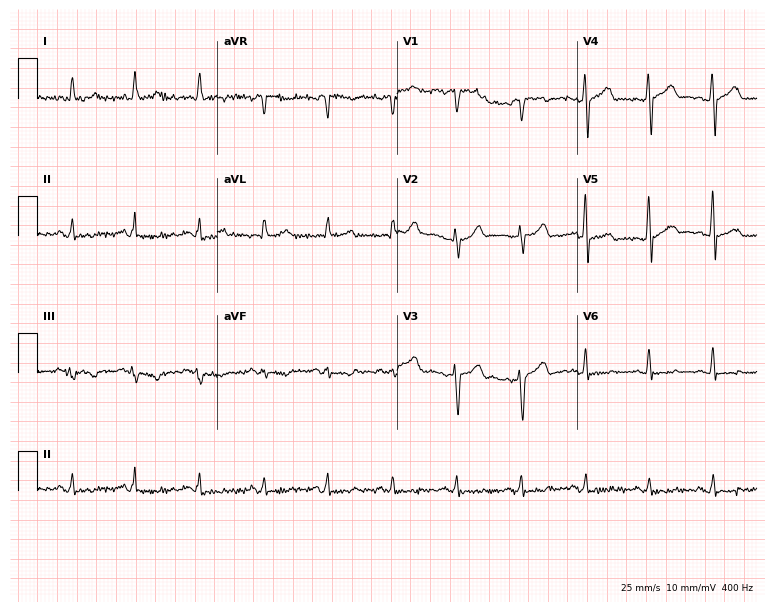
ECG — a man, 50 years old. Screened for six findings — first-degree AV block, right bundle branch block, left bundle branch block, sinus bradycardia, atrial fibrillation, sinus tachycardia — none is recorded.